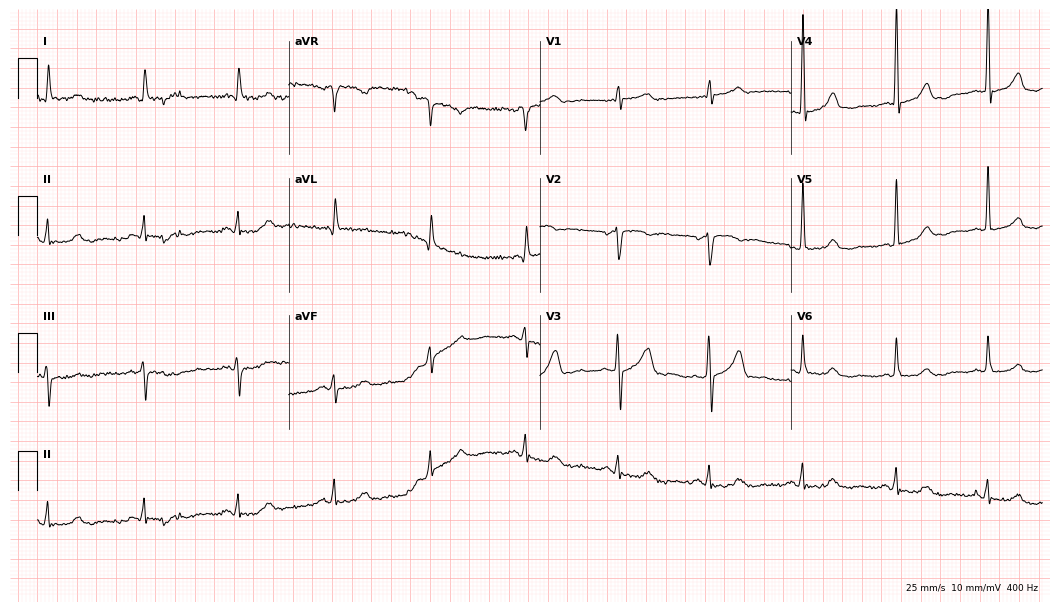
Standard 12-lead ECG recorded from a man, 68 years old (10.2-second recording at 400 Hz). None of these six findings is recorded: first-degree AV block, right bundle branch block, left bundle branch block, sinus bradycardia, atrial fibrillation, sinus tachycardia. Other findings, if any, are not listed.